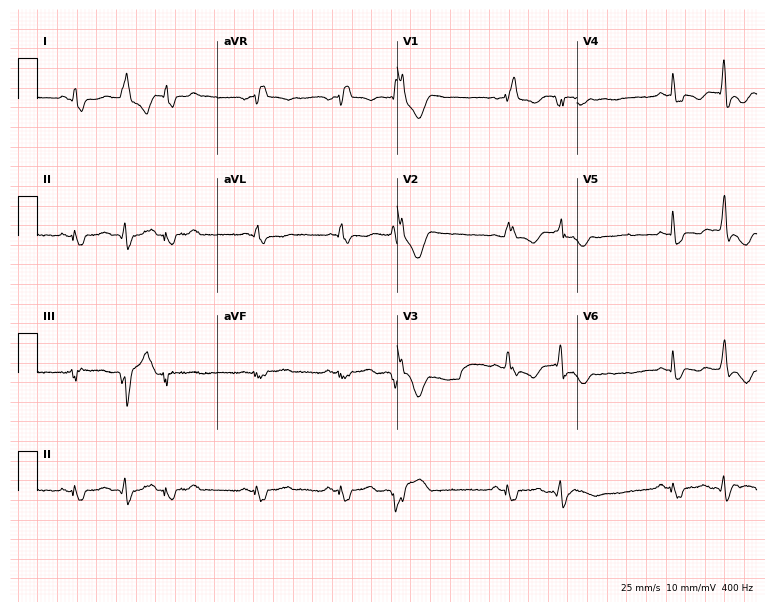
12-lead ECG (7.3-second recording at 400 Hz) from a female patient, 38 years old. Findings include right bundle branch block.